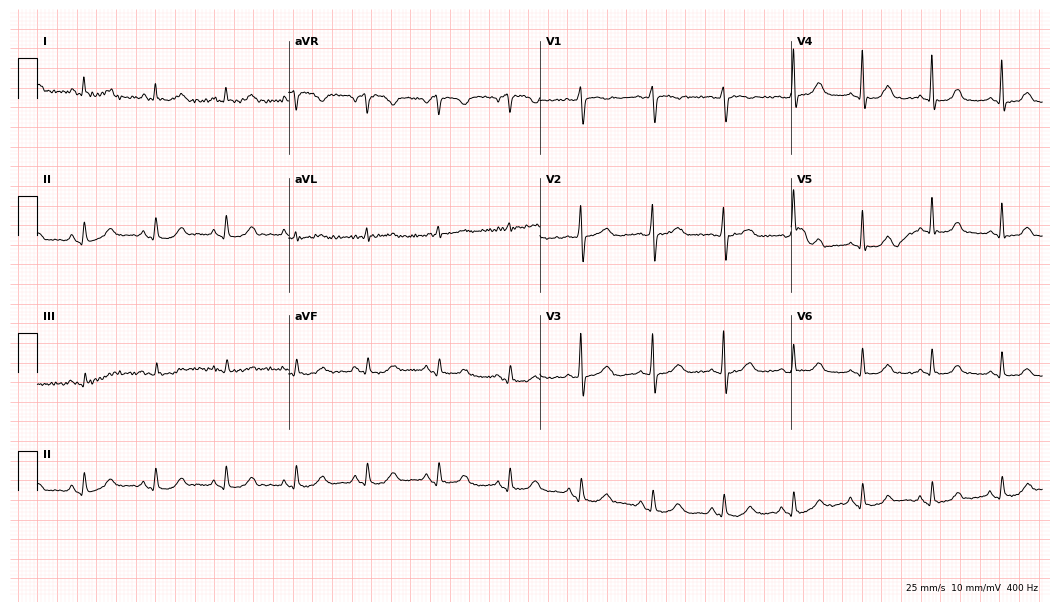
ECG — a 68-year-old woman. Screened for six findings — first-degree AV block, right bundle branch block (RBBB), left bundle branch block (LBBB), sinus bradycardia, atrial fibrillation (AF), sinus tachycardia — none is recorded.